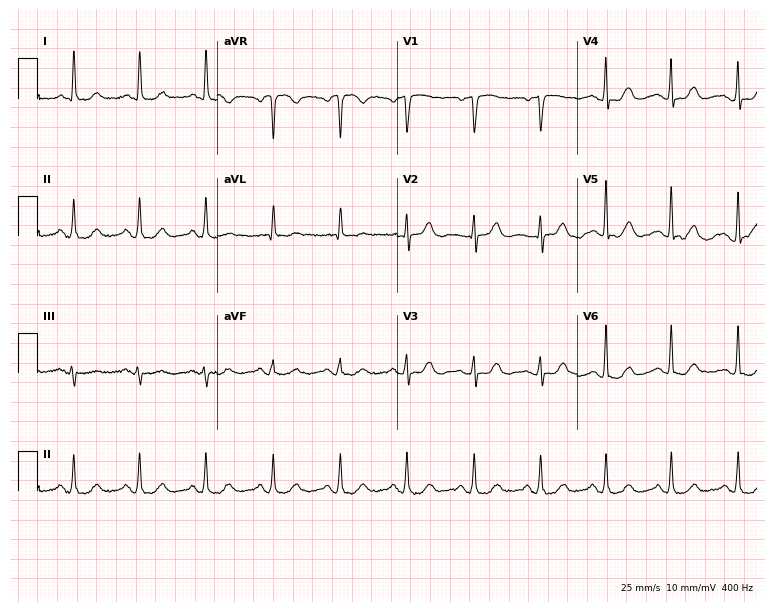
Resting 12-lead electrocardiogram (7.3-second recording at 400 Hz). Patient: an 82-year-old woman. Read as a normal ECG.